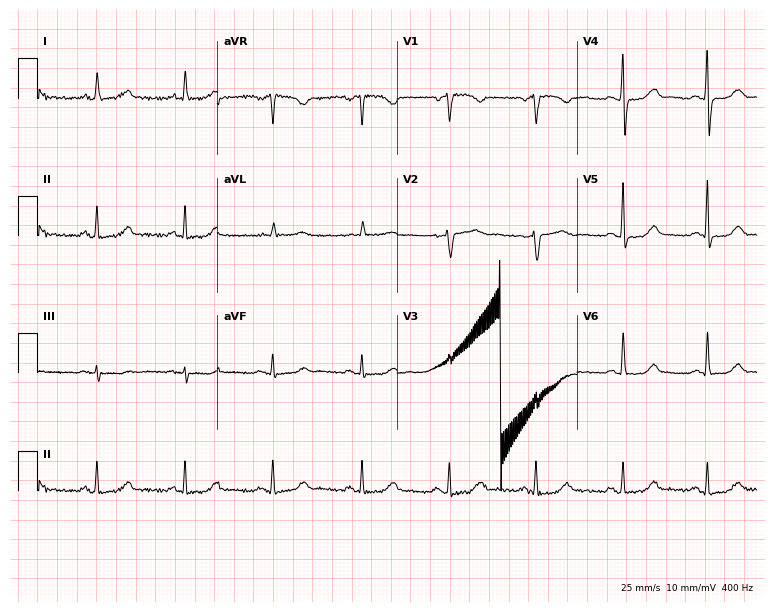
ECG (7.3-second recording at 400 Hz) — a 67-year-old female patient. Labelled as a normal ECG.